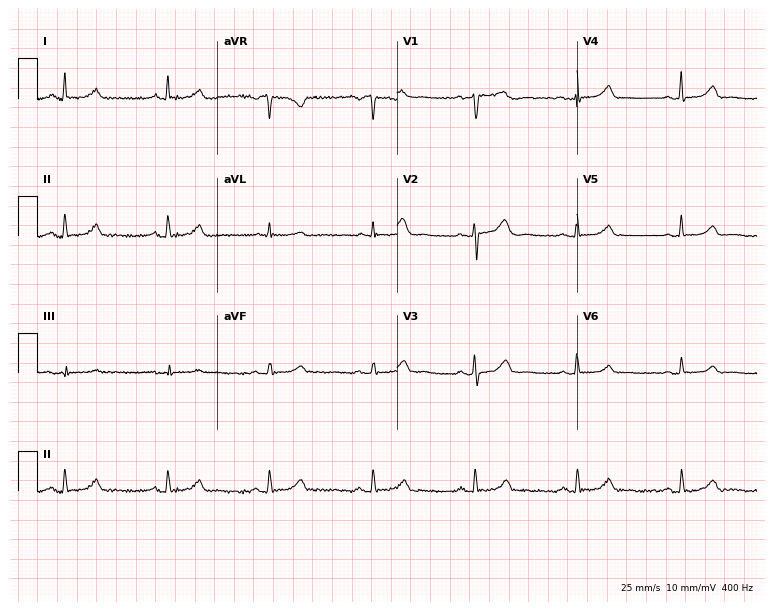
Standard 12-lead ECG recorded from a female, 66 years old (7.3-second recording at 400 Hz). Read as a normal ECG.